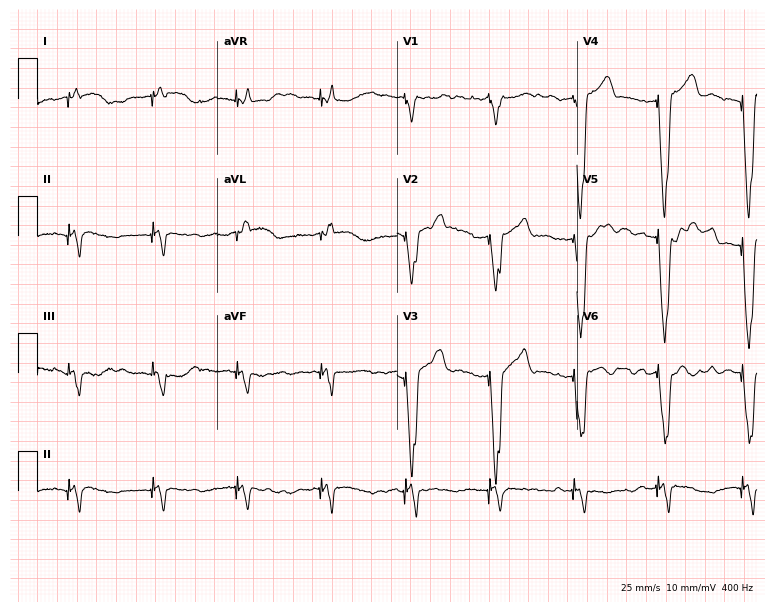
12-lead ECG from a 58-year-old male patient. No first-degree AV block, right bundle branch block (RBBB), left bundle branch block (LBBB), sinus bradycardia, atrial fibrillation (AF) or sinus tachycardia recorded for this tracing. Only these six findings were labelled.